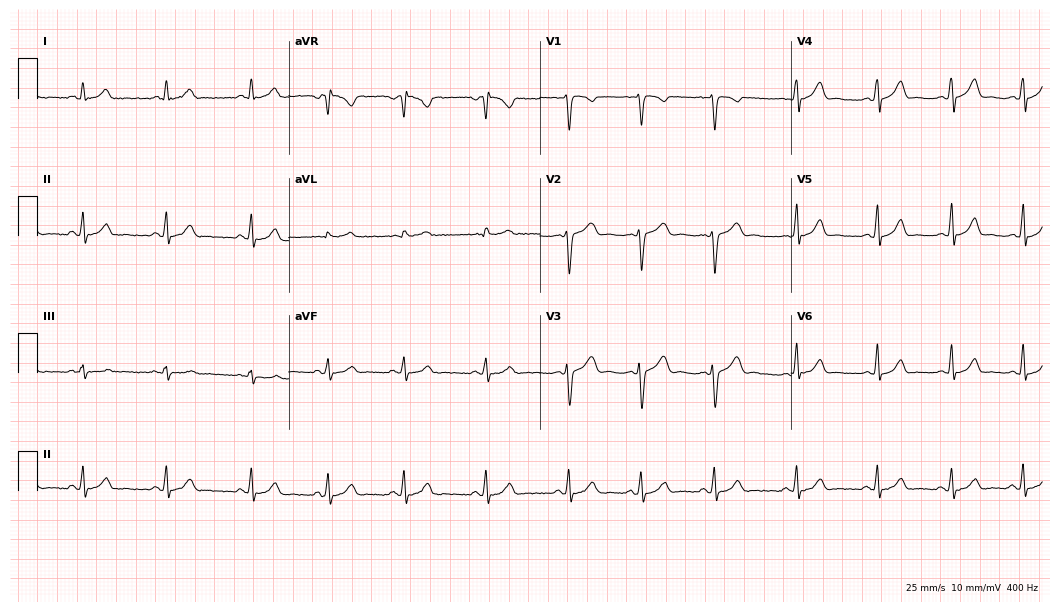
12-lead ECG (10.2-second recording at 400 Hz) from a female patient, 21 years old. Labelled as a normal ECG.